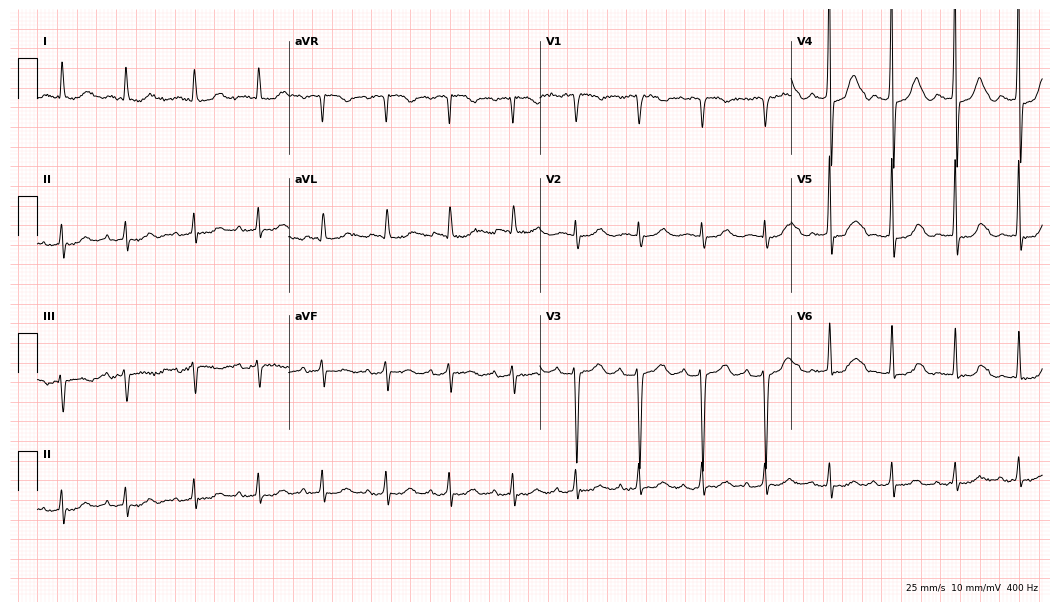
Standard 12-lead ECG recorded from a 79-year-old female patient (10.2-second recording at 400 Hz). Read as a normal ECG.